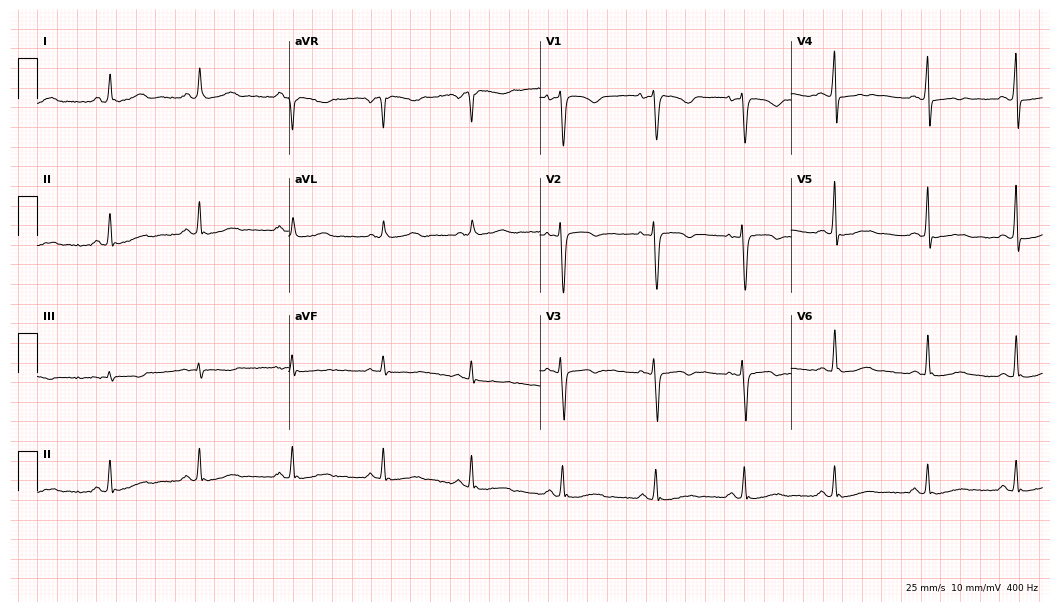
Resting 12-lead electrocardiogram (10.2-second recording at 400 Hz). Patient: a female, 34 years old. None of these six findings is recorded: first-degree AV block, right bundle branch block (RBBB), left bundle branch block (LBBB), sinus bradycardia, atrial fibrillation (AF), sinus tachycardia. Other findings, if any, are not listed.